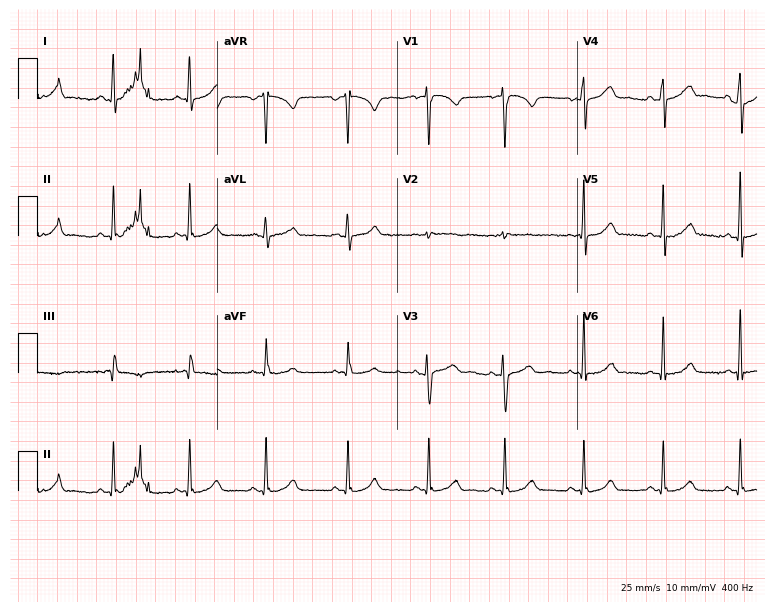
12-lead ECG from a female patient, 27 years old. Labelled as a normal ECG.